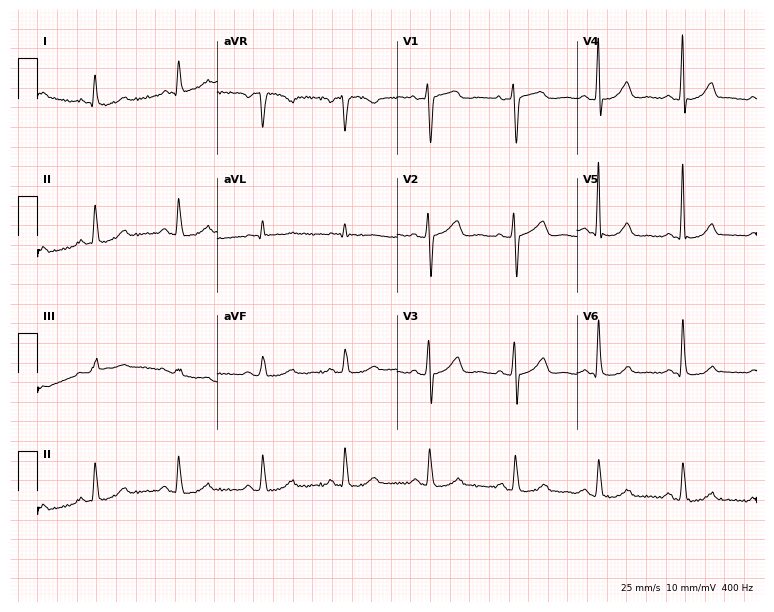
Standard 12-lead ECG recorded from a 62-year-old female patient. None of these six findings is recorded: first-degree AV block, right bundle branch block (RBBB), left bundle branch block (LBBB), sinus bradycardia, atrial fibrillation (AF), sinus tachycardia. Findings outside these six are not listed.